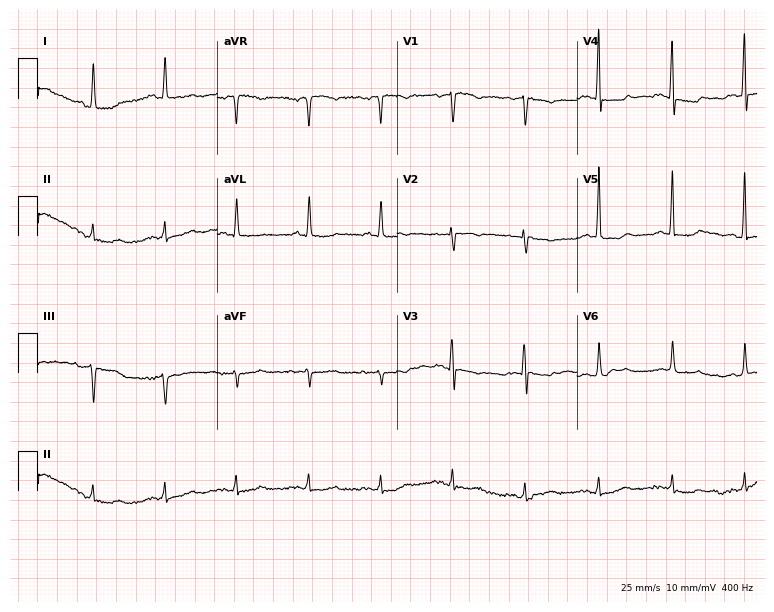
12-lead ECG from a 79-year-old female (7.3-second recording at 400 Hz). Recorded interpretation: within normal limits.